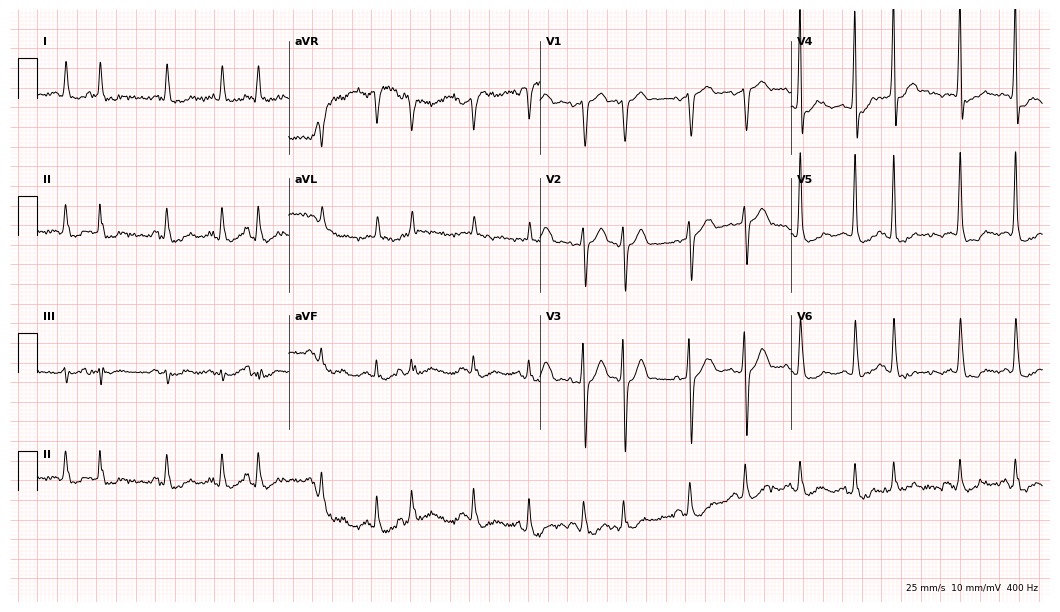
12-lead ECG from a male patient, 65 years old (10.2-second recording at 400 Hz). No first-degree AV block, right bundle branch block, left bundle branch block, sinus bradycardia, atrial fibrillation or sinus tachycardia recorded for this tracing.